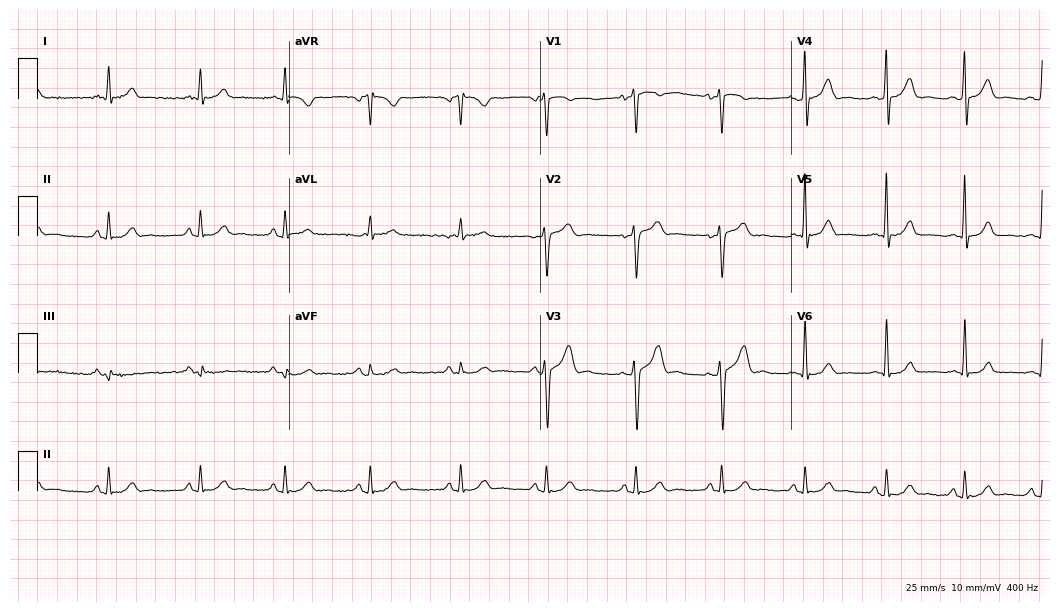
Standard 12-lead ECG recorded from a male patient, 46 years old. Read as a normal ECG.